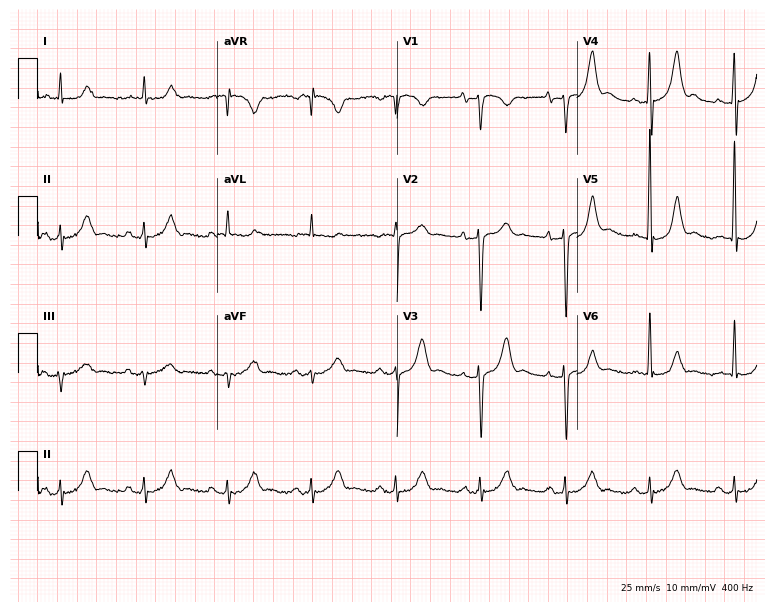
Resting 12-lead electrocardiogram (7.3-second recording at 400 Hz). Patient: a 72-year-old man. Read as a normal ECG.